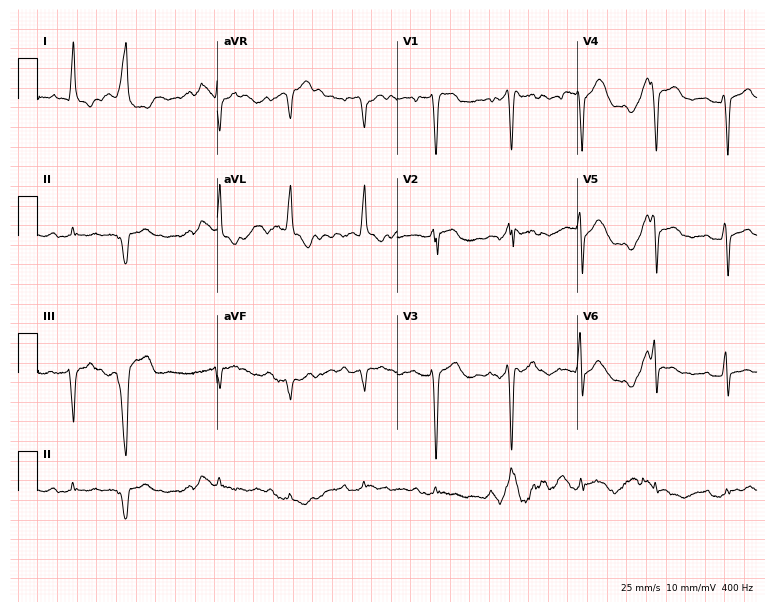
Standard 12-lead ECG recorded from a woman, 83 years old. None of these six findings is recorded: first-degree AV block, right bundle branch block (RBBB), left bundle branch block (LBBB), sinus bradycardia, atrial fibrillation (AF), sinus tachycardia. Other findings, if any, are not listed.